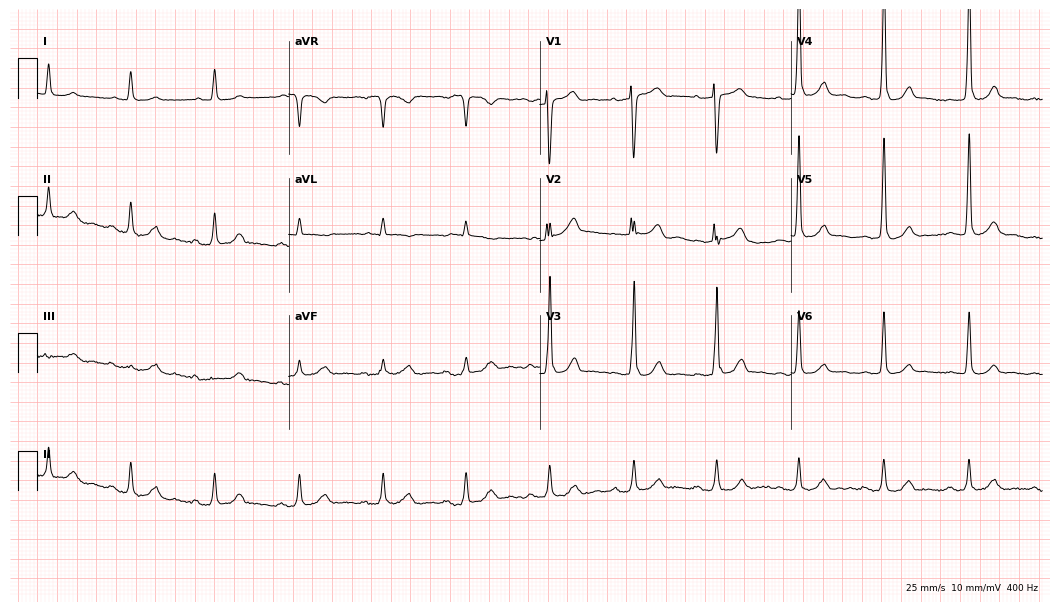
Standard 12-lead ECG recorded from a male, 82 years old (10.2-second recording at 400 Hz). None of these six findings is recorded: first-degree AV block, right bundle branch block, left bundle branch block, sinus bradycardia, atrial fibrillation, sinus tachycardia. Only these six findings were labelled.